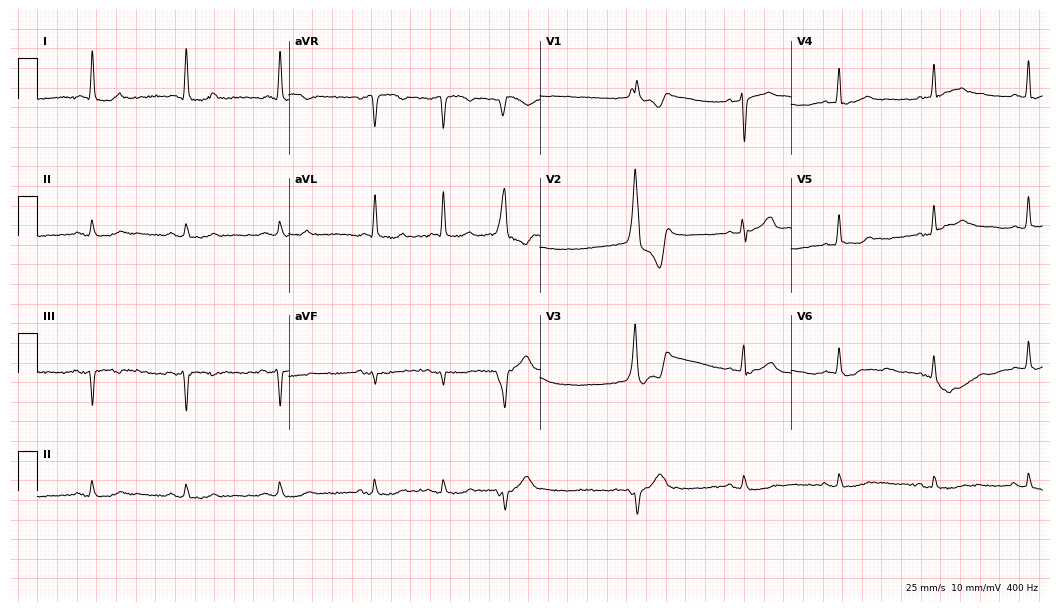
12-lead ECG from an 85-year-old man. No first-degree AV block, right bundle branch block, left bundle branch block, sinus bradycardia, atrial fibrillation or sinus tachycardia recorded for this tracing. Only these six findings were labelled.